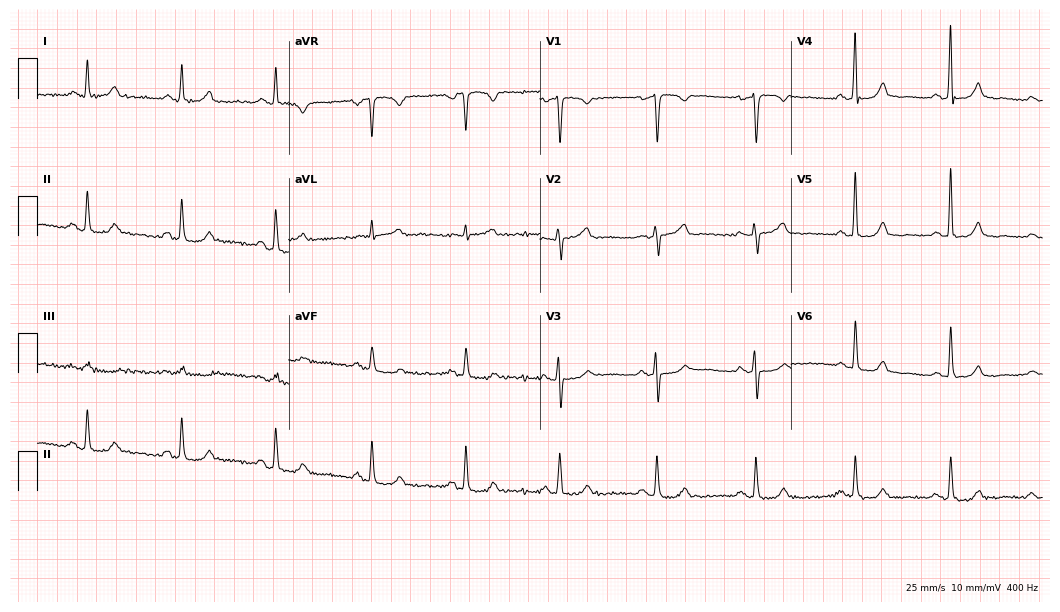
Electrocardiogram, a 52-year-old woman. Overall reading on record: normal ECG.